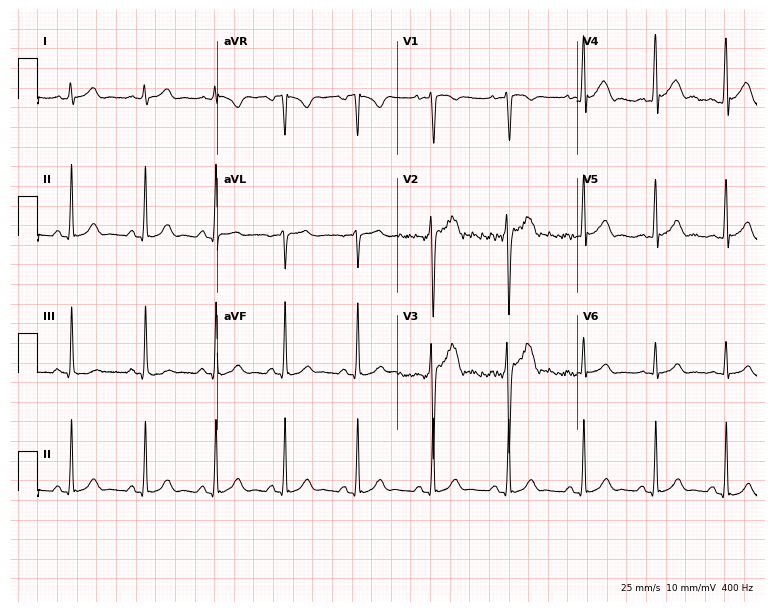
12-lead ECG from a 21-year-old male. Labelled as a normal ECG.